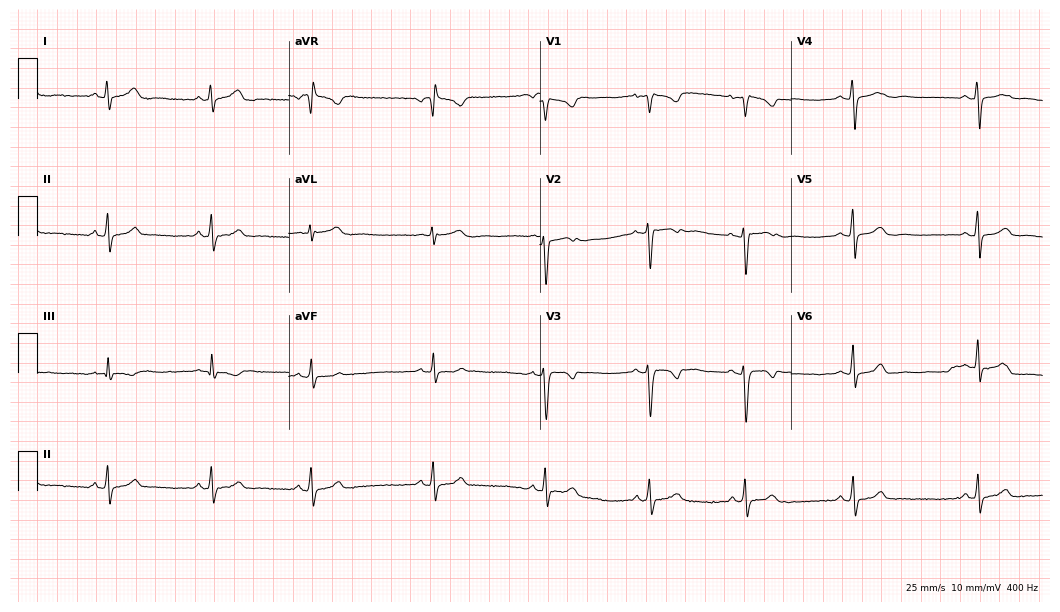
12-lead ECG from a woman, 23 years old. Labelled as a normal ECG.